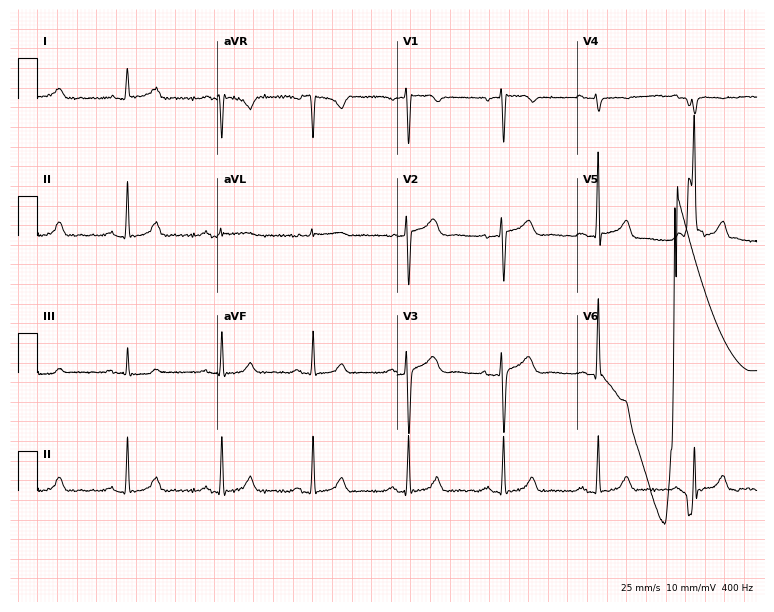
12-lead ECG (7.3-second recording at 400 Hz) from a woman, 60 years old. Screened for six findings — first-degree AV block, right bundle branch block, left bundle branch block, sinus bradycardia, atrial fibrillation, sinus tachycardia — none is recorded. Findings outside these six are not listed.